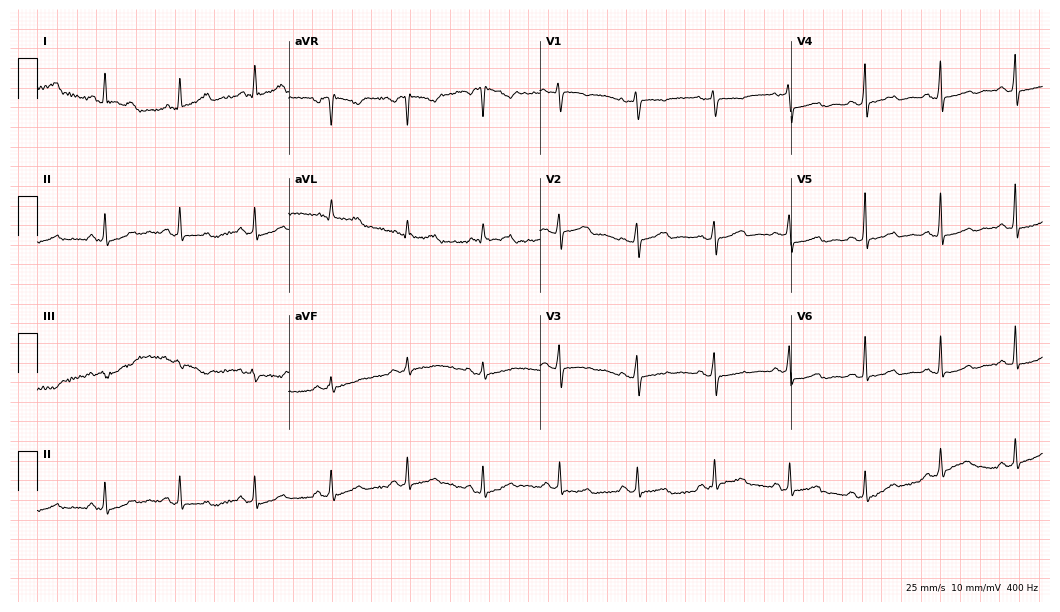
12-lead ECG (10.2-second recording at 400 Hz) from a 50-year-old woman. Labelled as a normal ECG.